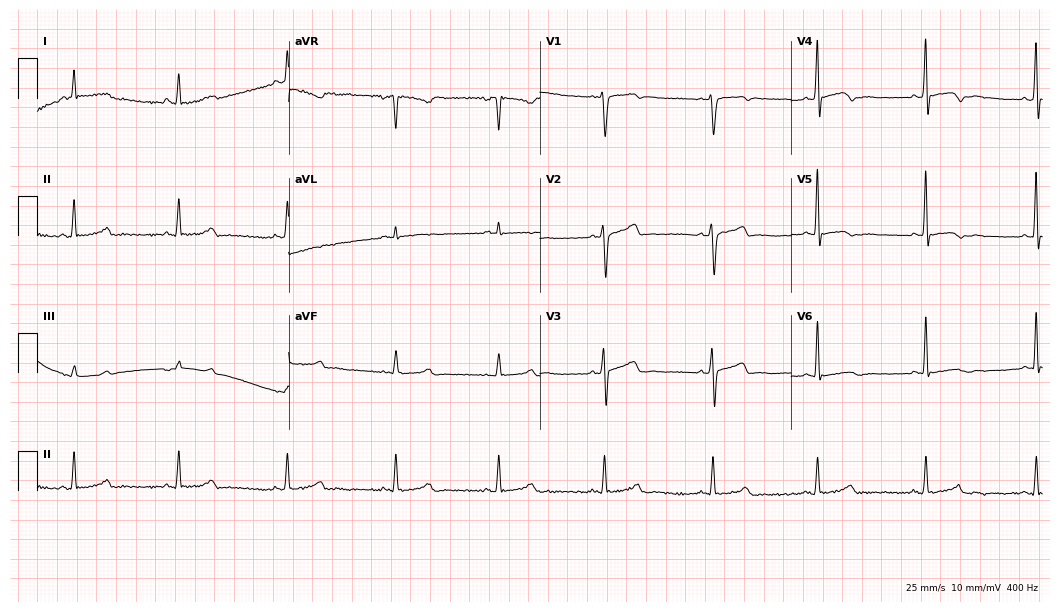
12-lead ECG from a 49-year-old man. Labelled as a normal ECG.